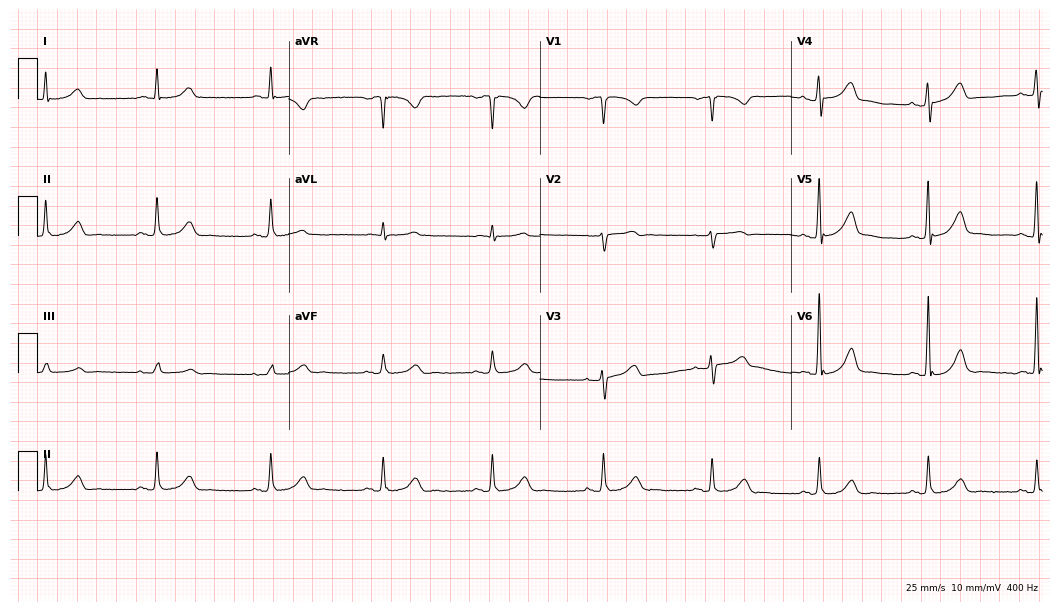
Resting 12-lead electrocardiogram (10.2-second recording at 400 Hz). Patient: a 69-year-old male. Read as a normal ECG.